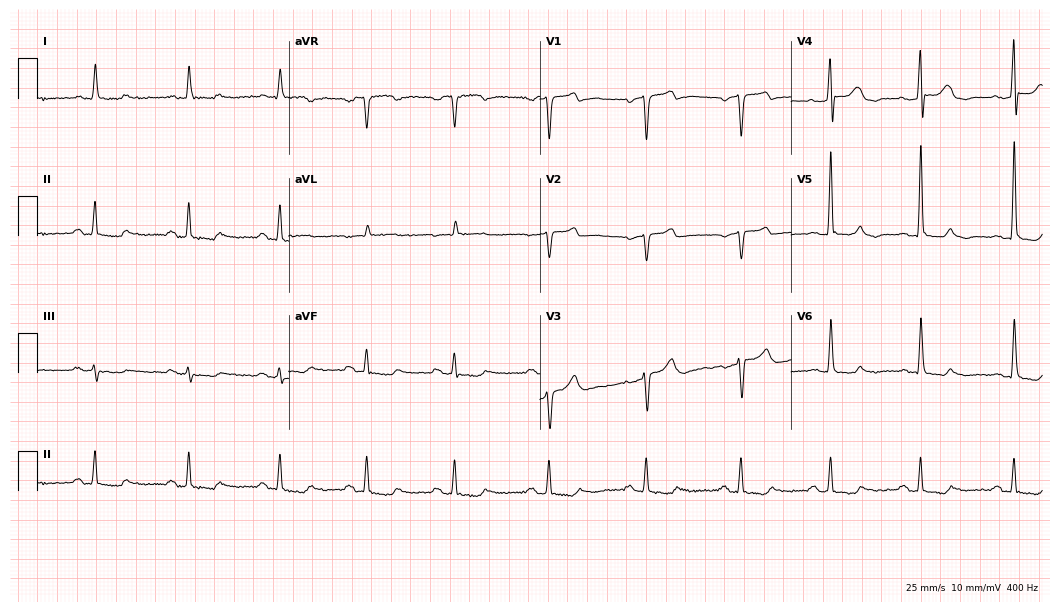
12-lead ECG from a 59-year-old male patient. Screened for six findings — first-degree AV block, right bundle branch block, left bundle branch block, sinus bradycardia, atrial fibrillation, sinus tachycardia — none is recorded. Findings outside these six are not listed.